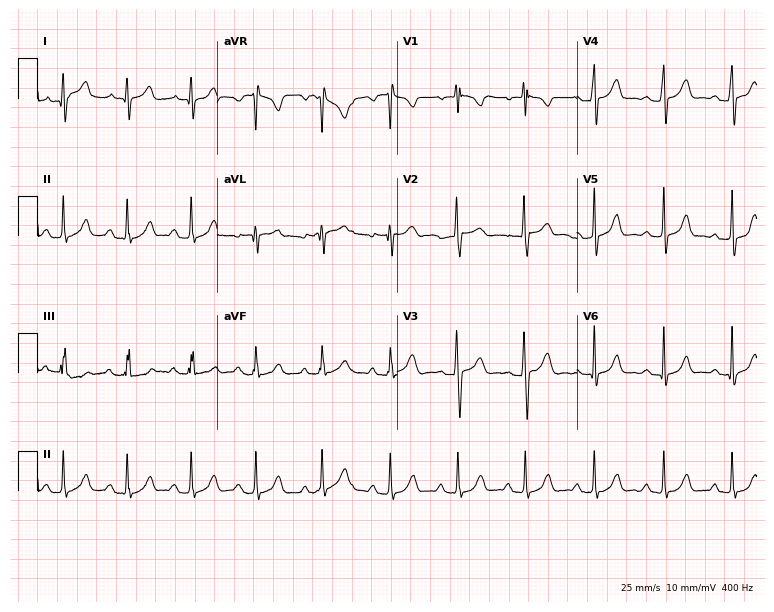
Standard 12-lead ECG recorded from a woman, 24 years old. Read as a normal ECG.